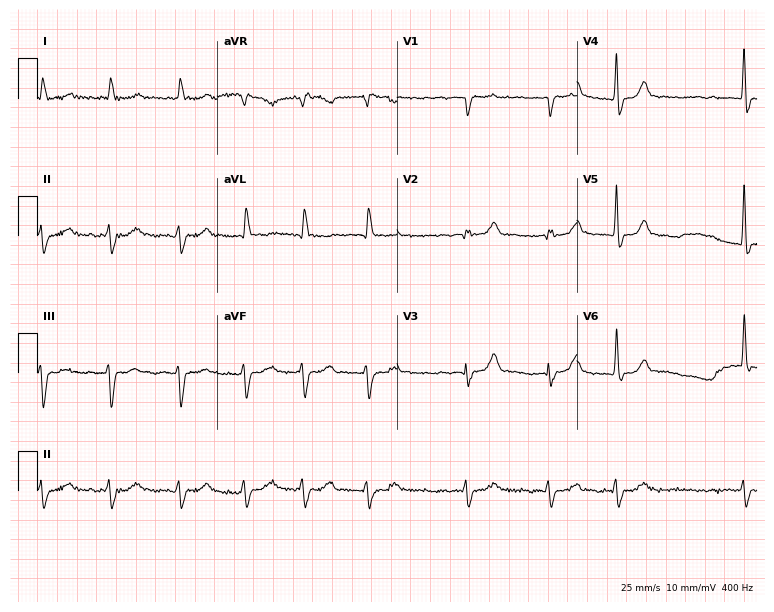
12-lead ECG (7.3-second recording at 400 Hz) from a male, 83 years old. Findings include atrial fibrillation.